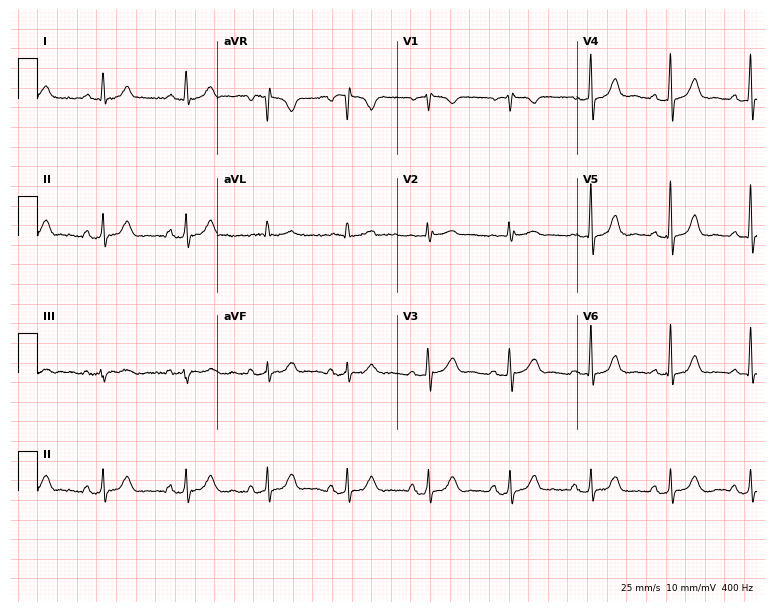
12-lead ECG (7.3-second recording at 400 Hz) from a 68-year-old female. Screened for six findings — first-degree AV block, right bundle branch block, left bundle branch block, sinus bradycardia, atrial fibrillation, sinus tachycardia — none is recorded. Other findings, if any, are not listed.